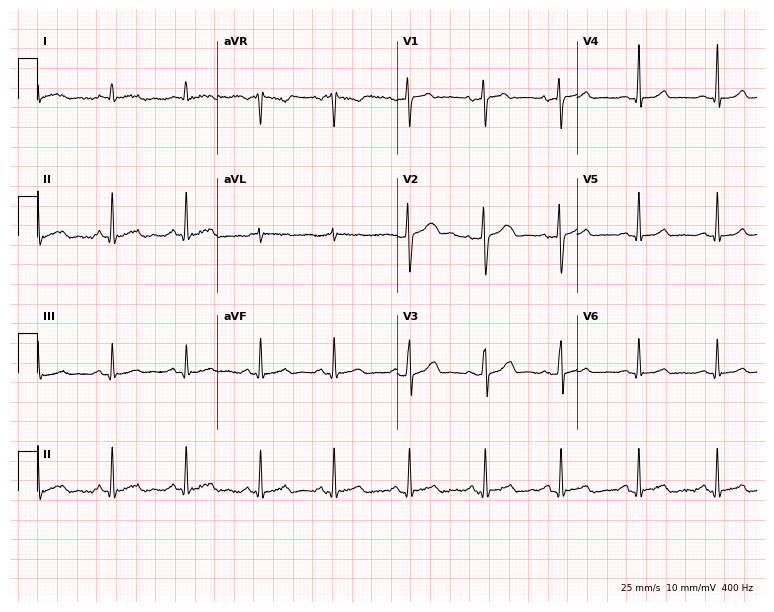
Standard 12-lead ECG recorded from a woman, 31 years old (7.3-second recording at 400 Hz). Read as a normal ECG.